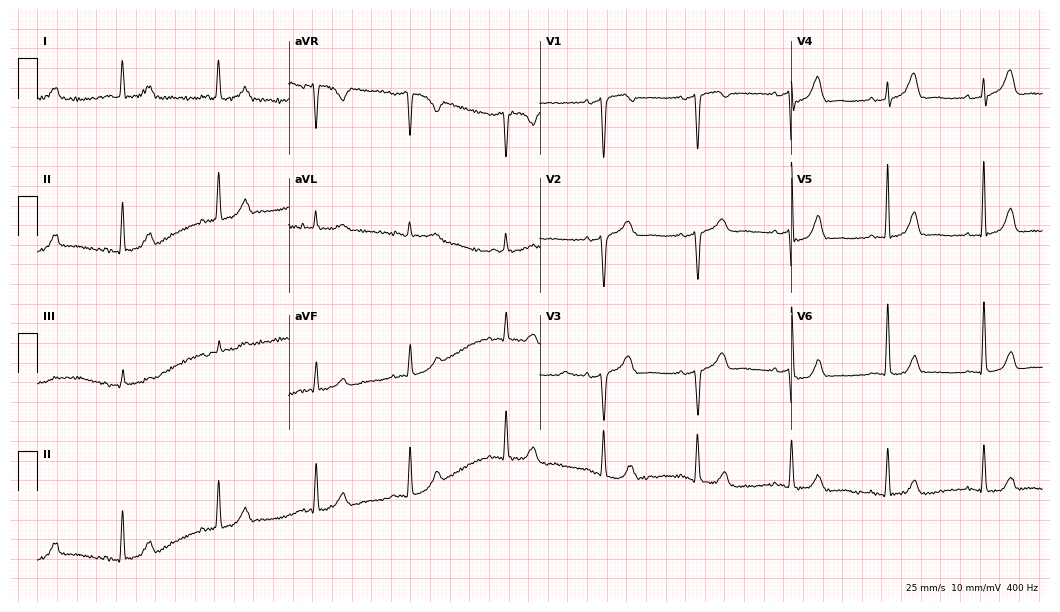
12-lead ECG (10.2-second recording at 400 Hz) from a female patient, 66 years old. Screened for six findings — first-degree AV block, right bundle branch block, left bundle branch block, sinus bradycardia, atrial fibrillation, sinus tachycardia — none is recorded. Other findings, if any, are not listed.